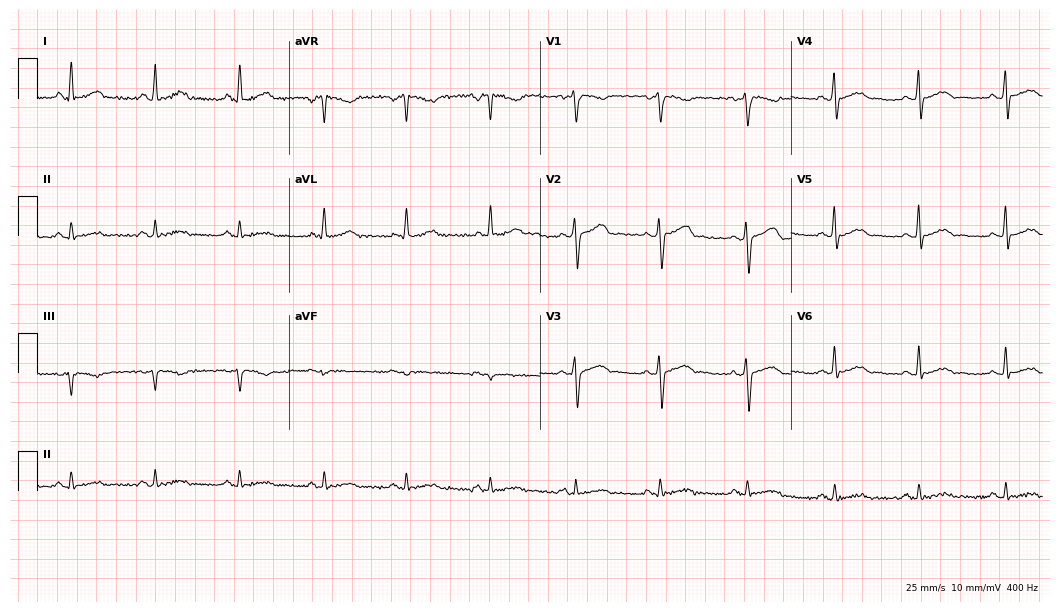
Resting 12-lead electrocardiogram. Patient: a man, 36 years old. Read as a normal ECG.